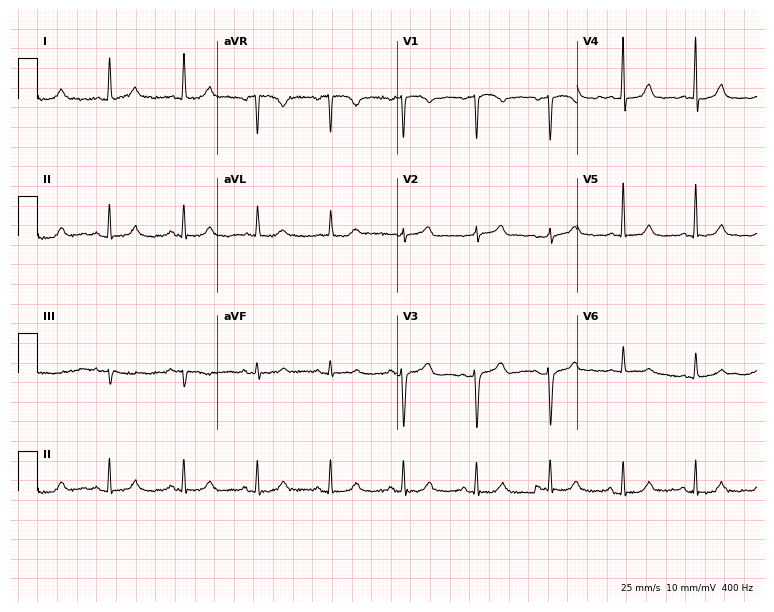
Standard 12-lead ECG recorded from a female patient, 79 years old. None of these six findings is recorded: first-degree AV block, right bundle branch block (RBBB), left bundle branch block (LBBB), sinus bradycardia, atrial fibrillation (AF), sinus tachycardia. Only these six findings were labelled.